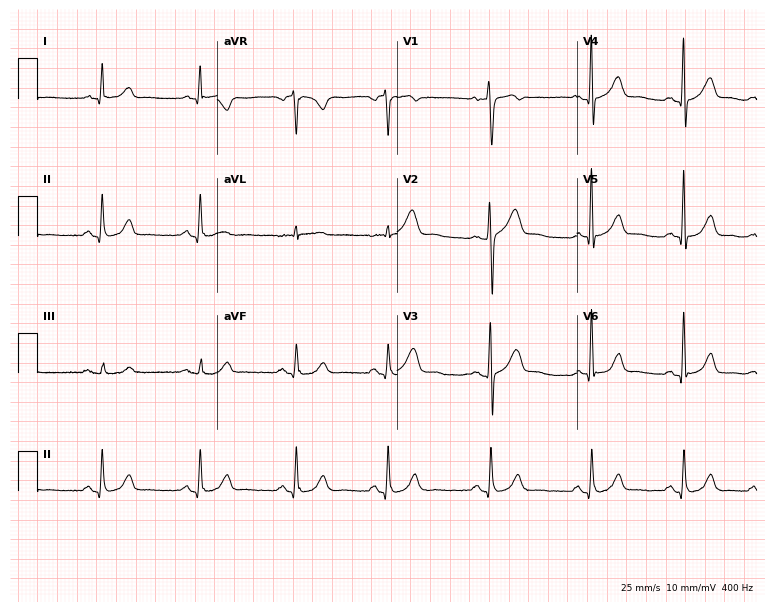
Standard 12-lead ECG recorded from a man, 50 years old (7.3-second recording at 400 Hz). Read as a normal ECG.